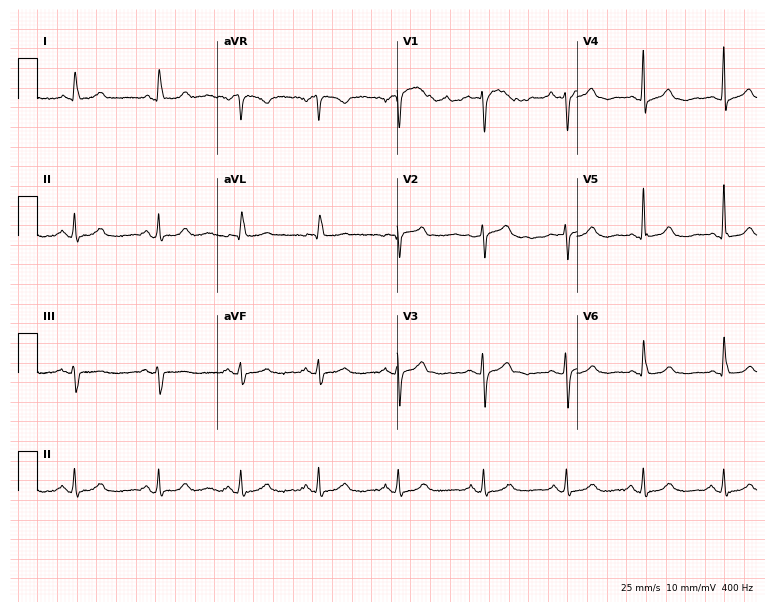
Standard 12-lead ECG recorded from an 81-year-old woman (7.3-second recording at 400 Hz). Read as a normal ECG.